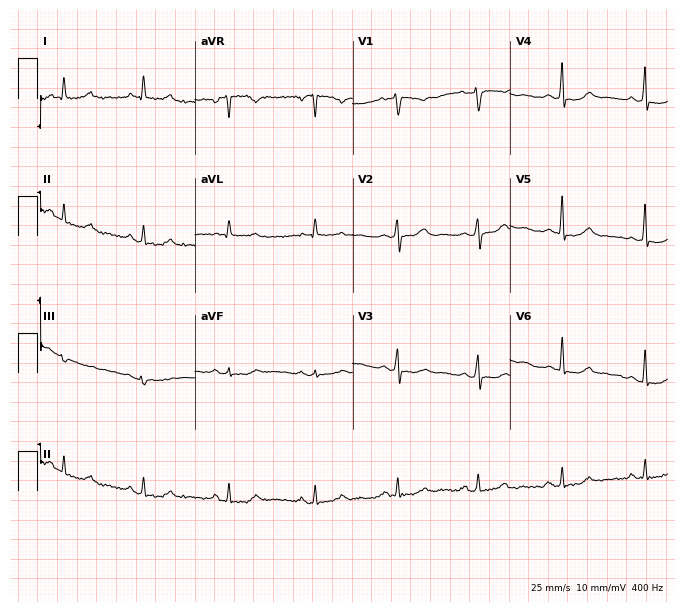
Standard 12-lead ECG recorded from a female, 55 years old (6.4-second recording at 400 Hz). None of these six findings is recorded: first-degree AV block, right bundle branch block, left bundle branch block, sinus bradycardia, atrial fibrillation, sinus tachycardia. Findings outside these six are not listed.